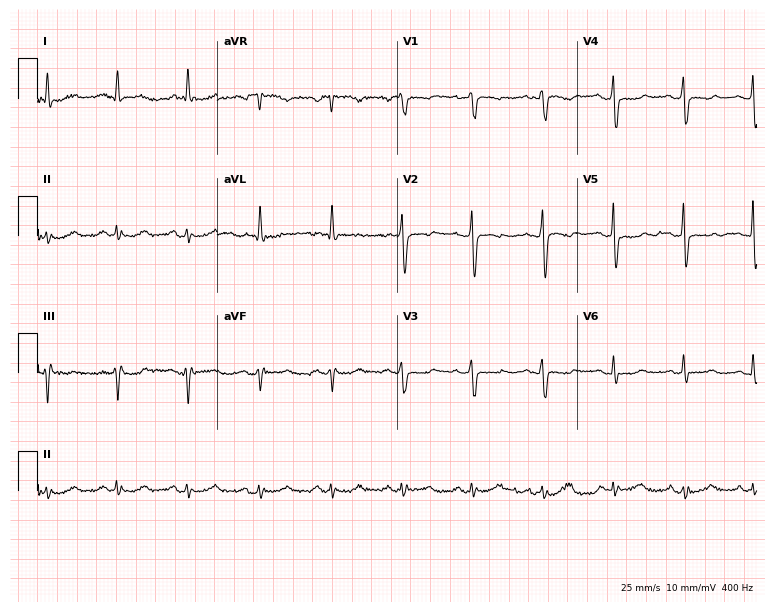
Resting 12-lead electrocardiogram. Patient: a 58-year-old female. None of these six findings is recorded: first-degree AV block, right bundle branch block (RBBB), left bundle branch block (LBBB), sinus bradycardia, atrial fibrillation (AF), sinus tachycardia. Findings outside these six are not listed.